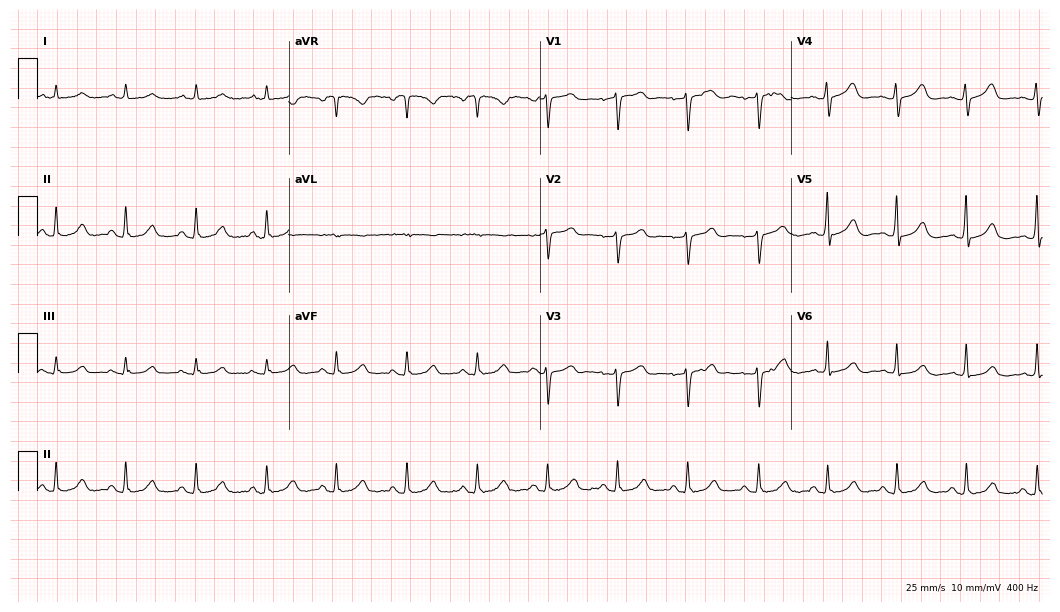
Electrocardiogram, a man, 63 years old. Overall reading on record: normal ECG.